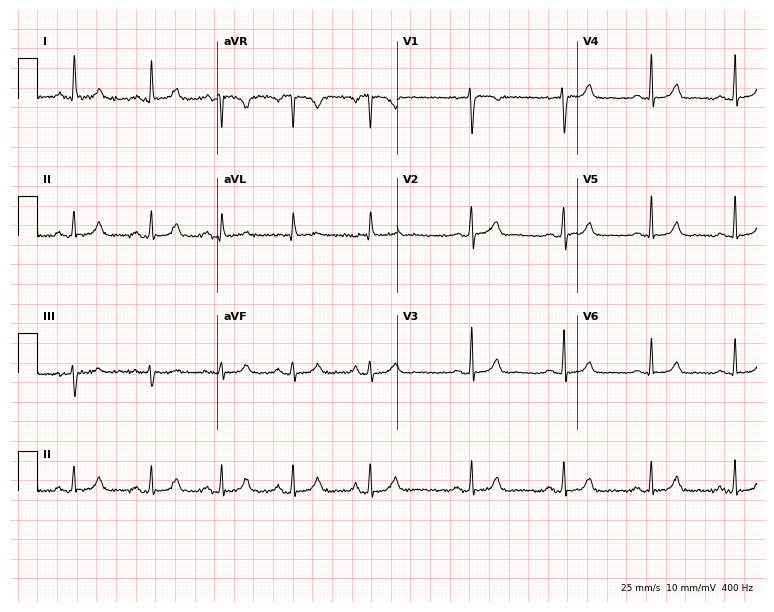
ECG — a woman, 22 years old. Labelled as a normal ECG.